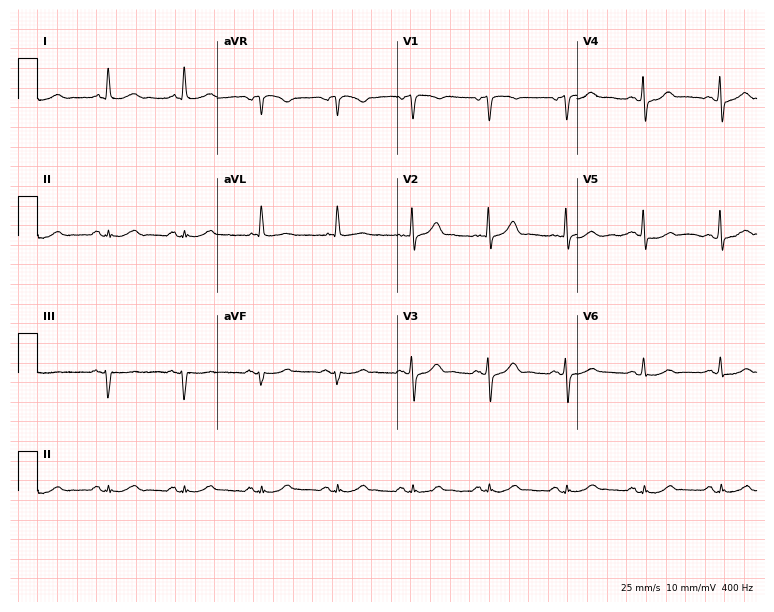
Resting 12-lead electrocardiogram (7.3-second recording at 400 Hz). Patient: a male, 76 years old. Read as a normal ECG.